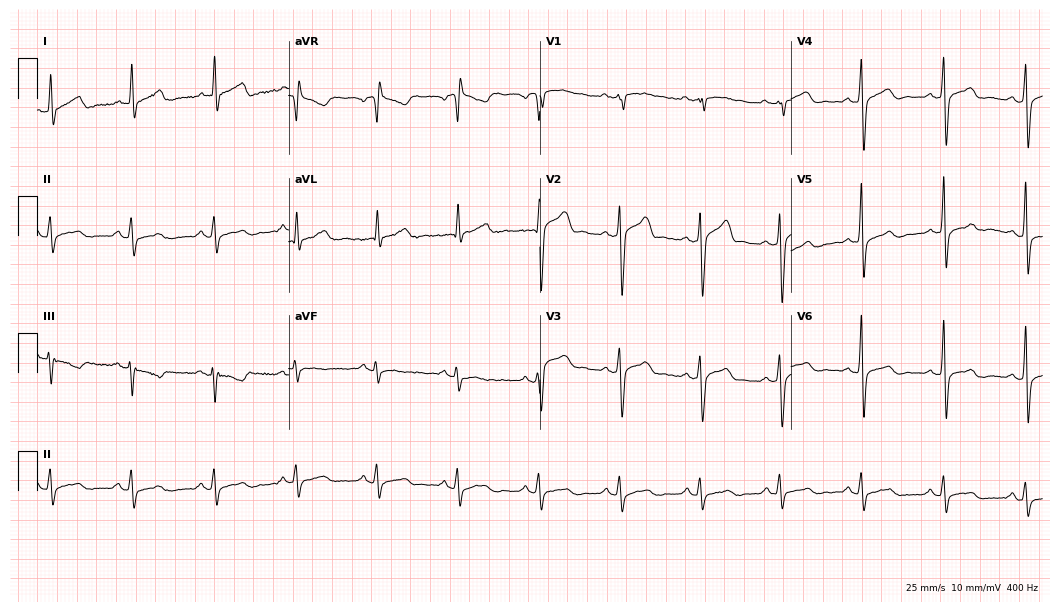
Standard 12-lead ECG recorded from a man, 49 years old (10.2-second recording at 400 Hz). None of these six findings is recorded: first-degree AV block, right bundle branch block (RBBB), left bundle branch block (LBBB), sinus bradycardia, atrial fibrillation (AF), sinus tachycardia. Only these six findings were labelled.